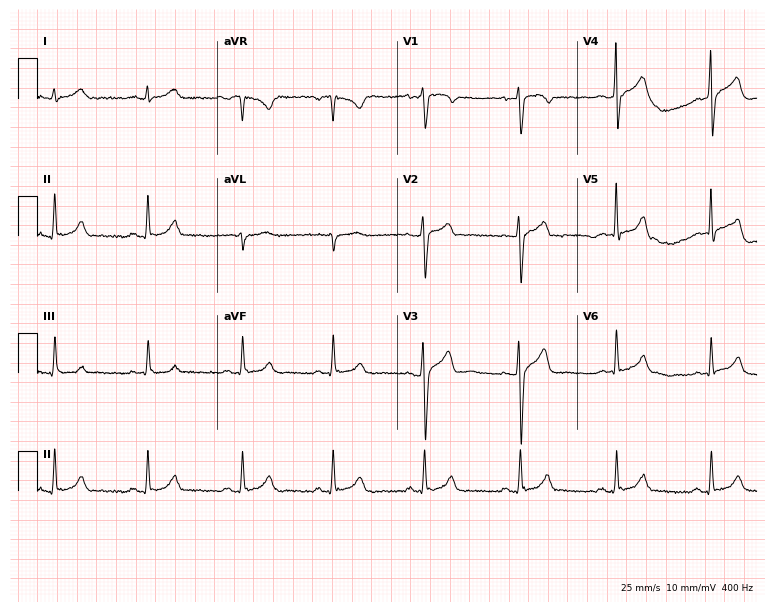
12-lead ECG (7.3-second recording at 400 Hz) from a man, 39 years old. Screened for six findings — first-degree AV block, right bundle branch block (RBBB), left bundle branch block (LBBB), sinus bradycardia, atrial fibrillation (AF), sinus tachycardia — none is recorded. Only these six findings were labelled.